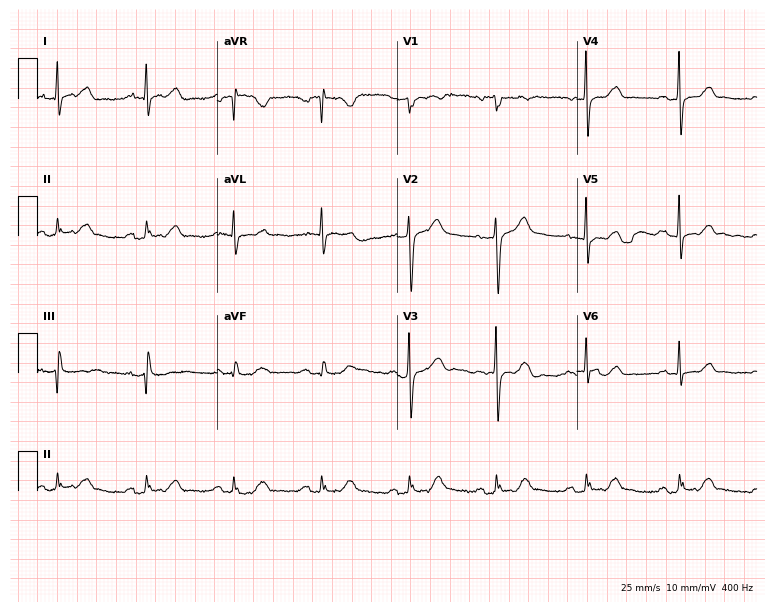
Electrocardiogram, a 44-year-old man. Overall reading on record: normal ECG.